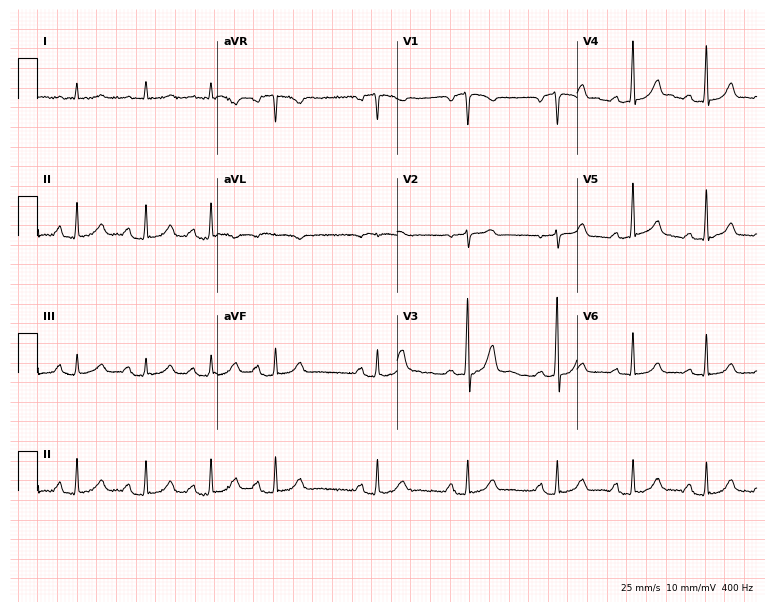
Electrocardiogram, an 82-year-old man. Of the six screened findings (first-degree AV block, right bundle branch block, left bundle branch block, sinus bradycardia, atrial fibrillation, sinus tachycardia), none is recorded.